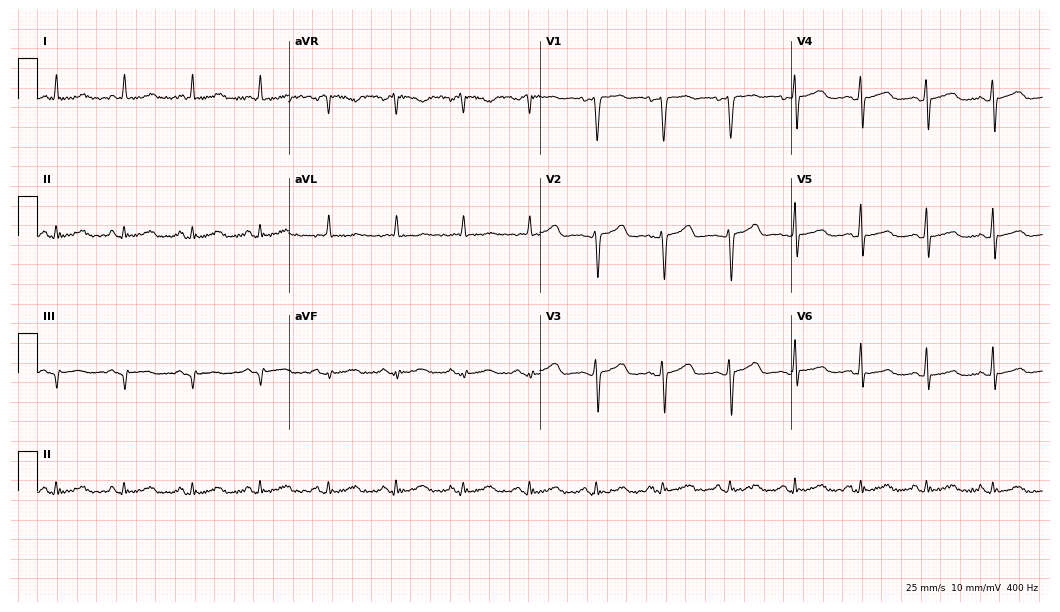
12-lead ECG from a female patient, 52 years old. Labelled as a normal ECG.